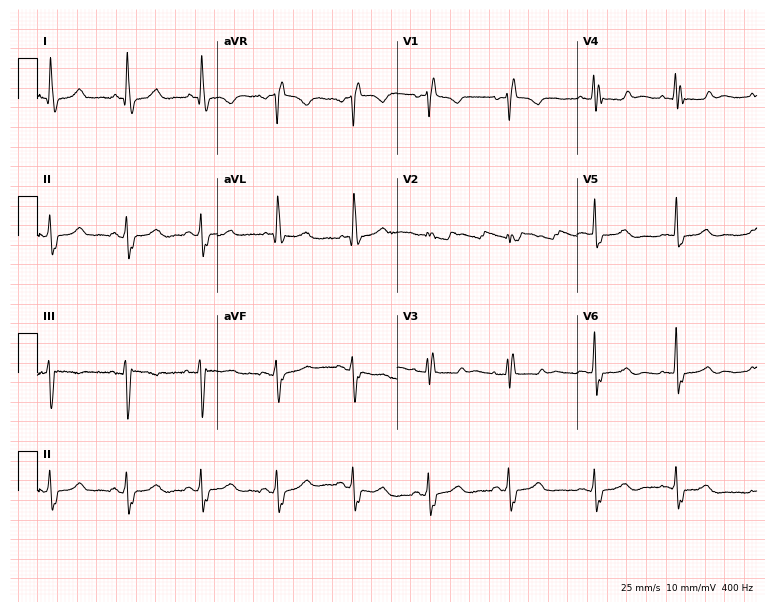
Resting 12-lead electrocardiogram. Patient: a 43-year-old woman. The tracing shows right bundle branch block.